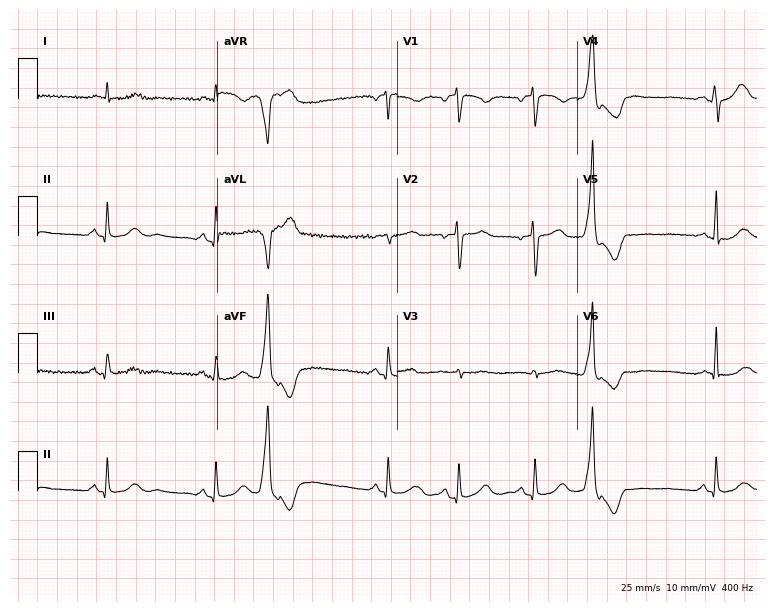
Electrocardiogram, a 52-year-old man. Of the six screened findings (first-degree AV block, right bundle branch block, left bundle branch block, sinus bradycardia, atrial fibrillation, sinus tachycardia), none is recorded. Only these six findings were labelled.